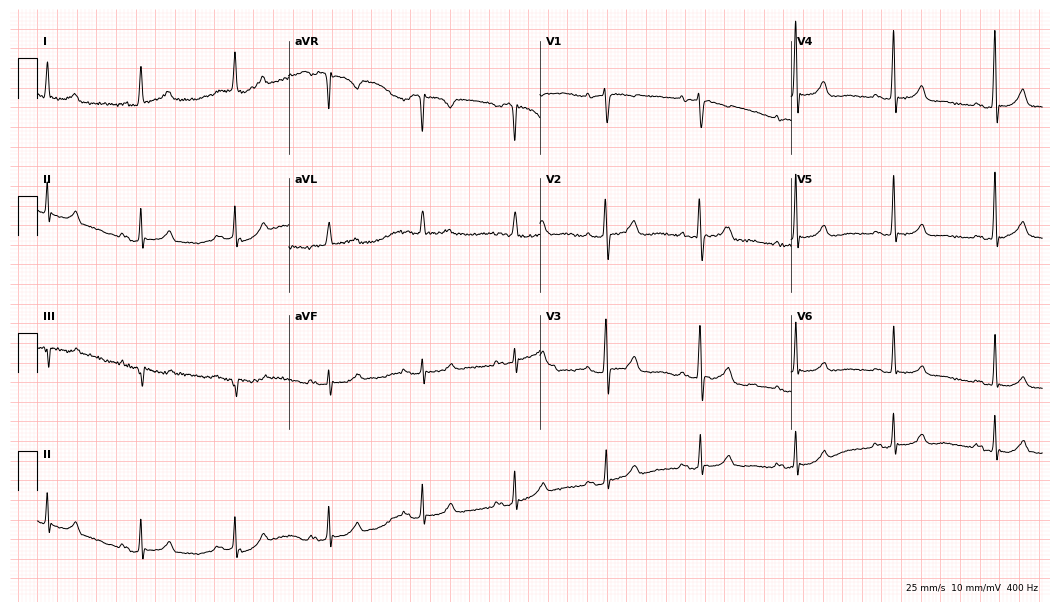
12-lead ECG from a 75-year-old female patient (10.2-second recording at 400 Hz). Recorded interpretation: within normal limits.